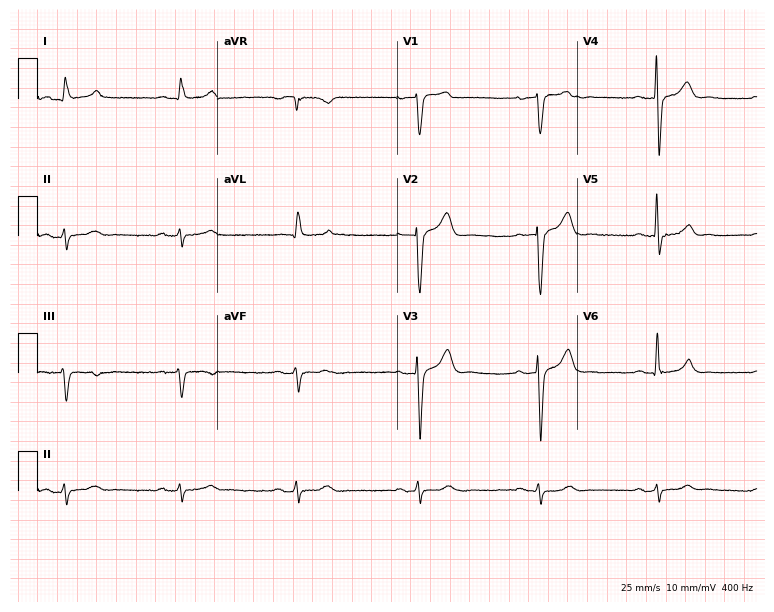
12-lead ECG (7.3-second recording at 400 Hz) from a male, 74 years old. Findings include sinus bradycardia (a sinus rate of 50 beats per minute or less).